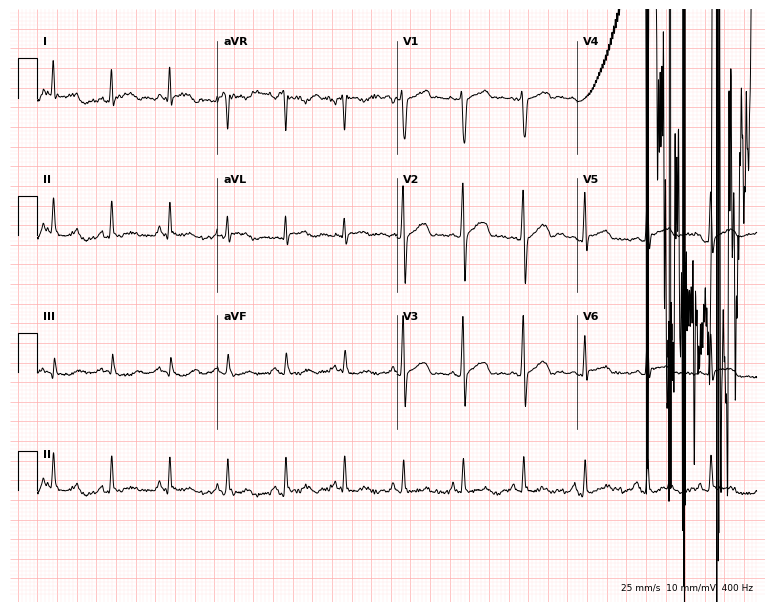
Resting 12-lead electrocardiogram (7.3-second recording at 400 Hz). Patient: a man, 53 years old. None of these six findings is recorded: first-degree AV block, right bundle branch block, left bundle branch block, sinus bradycardia, atrial fibrillation, sinus tachycardia.